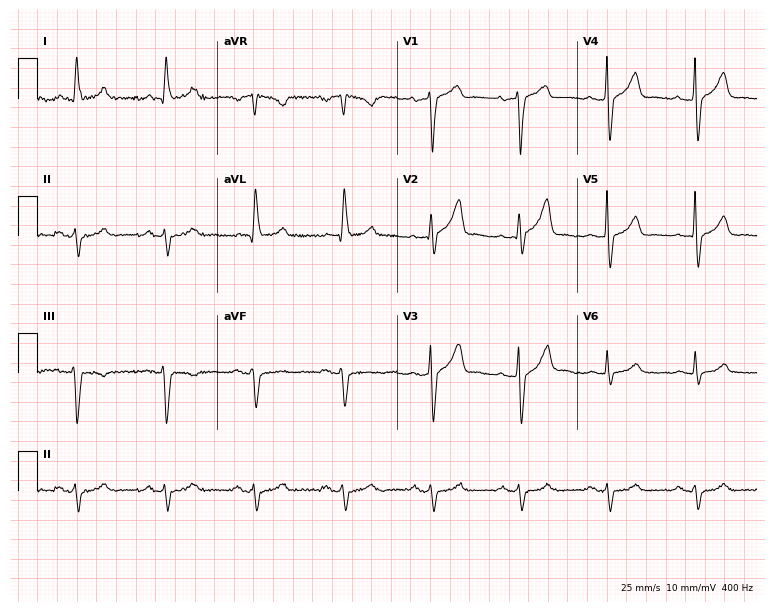
Electrocardiogram, a male, 82 years old. Of the six screened findings (first-degree AV block, right bundle branch block (RBBB), left bundle branch block (LBBB), sinus bradycardia, atrial fibrillation (AF), sinus tachycardia), none is recorded. Only these six findings were labelled.